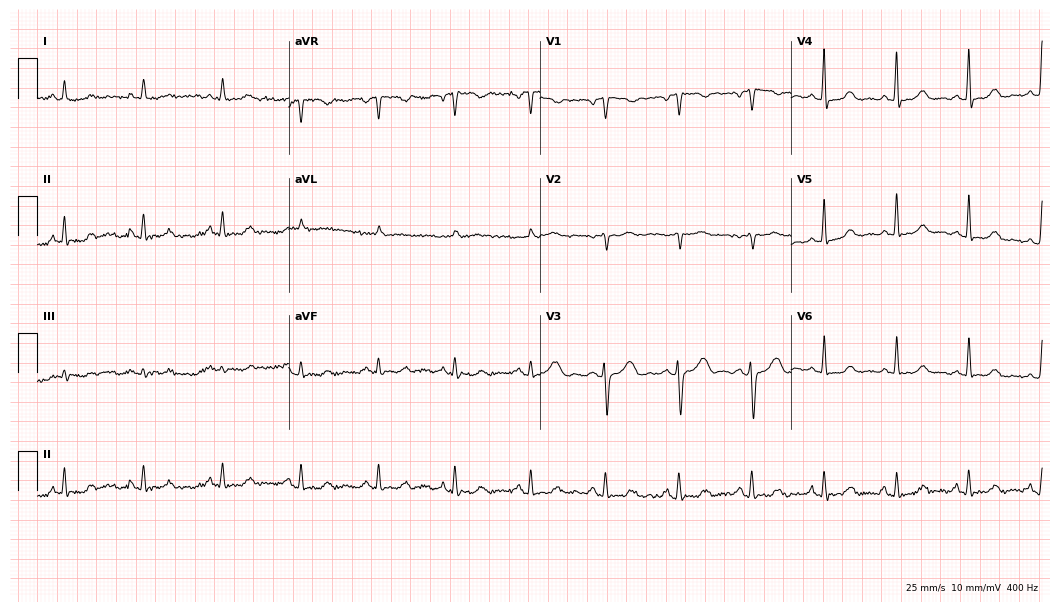
12-lead ECG from a female, 52 years old (10.2-second recording at 400 Hz). No first-degree AV block, right bundle branch block (RBBB), left bundle branch block (LBBB), sinus bradycardia, atrial fibrillation (AF) or sinus tachycardia recorded for this tracing. Only these six findings were labelled.